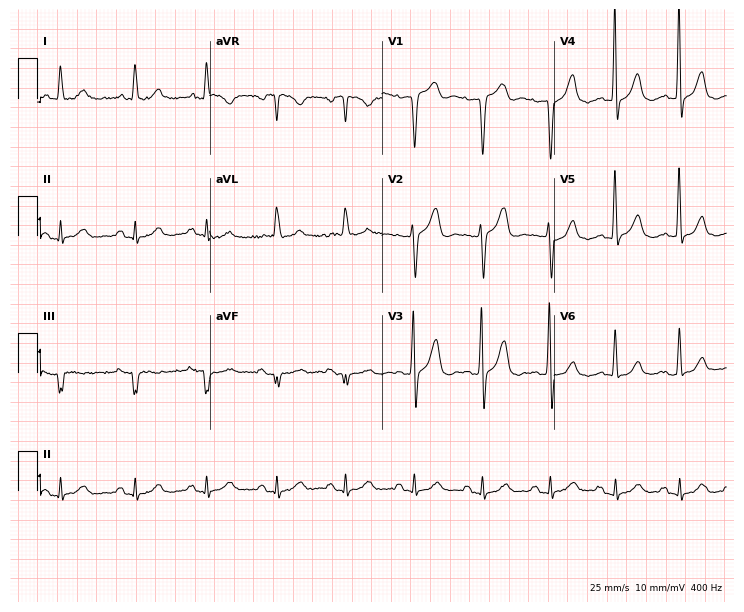
Resting 12-lead electrocardiogram (7-second recording at 400 Hz). Patient: a 75-year-old woman. None of these six findings is recorded: first-degree AV block, right bundle branch block (RBBB), left bundle branch block (LBBB), sinus bradycardia, atrial fibrillation (AF), sinus tachycardia. Findings outside these six are not listed.